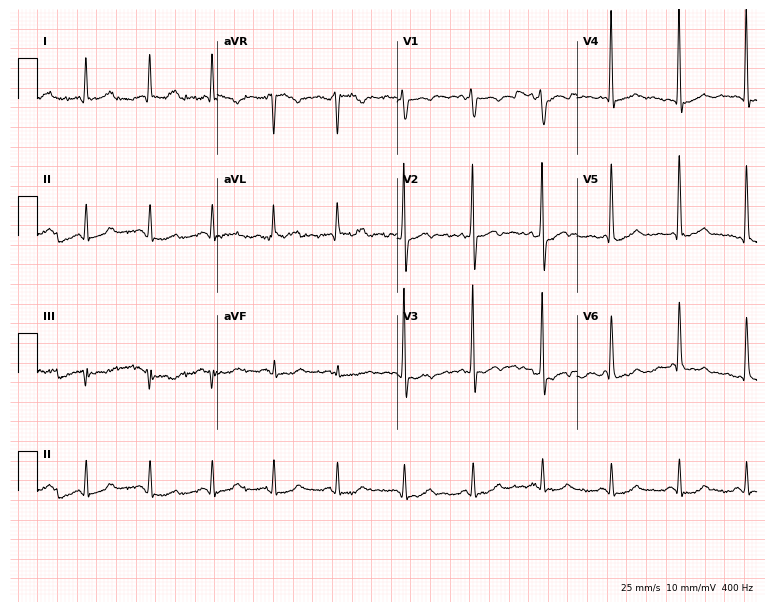
ECG — a 57-year-old man. Screened for six findings — first-degree AV block, right bundle branch block, left bundle branch block, sinus bradycardia, atrial fibrillation, sinus tachycardia — none is recorded.